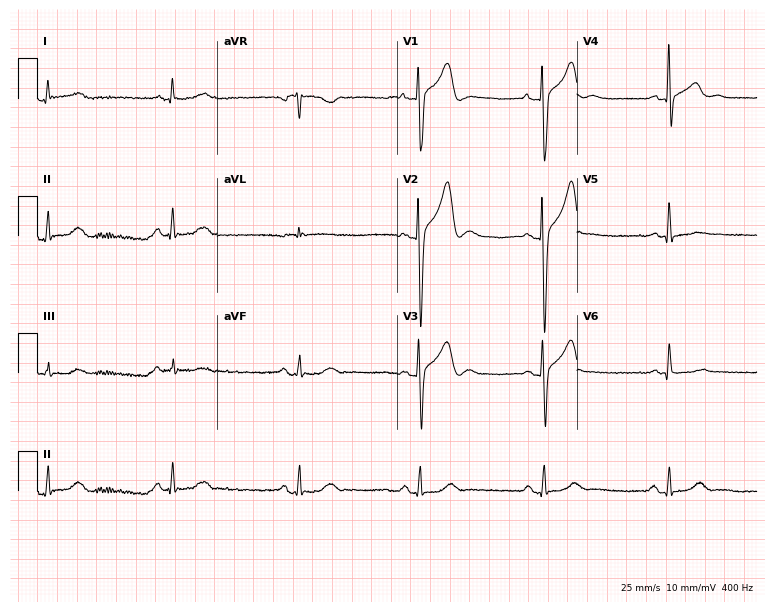
Electrocardiogram, a male patient, 45 years old. Interpretation includes sinus bradycardia (a sinus rate of 50 beats per minute or less).